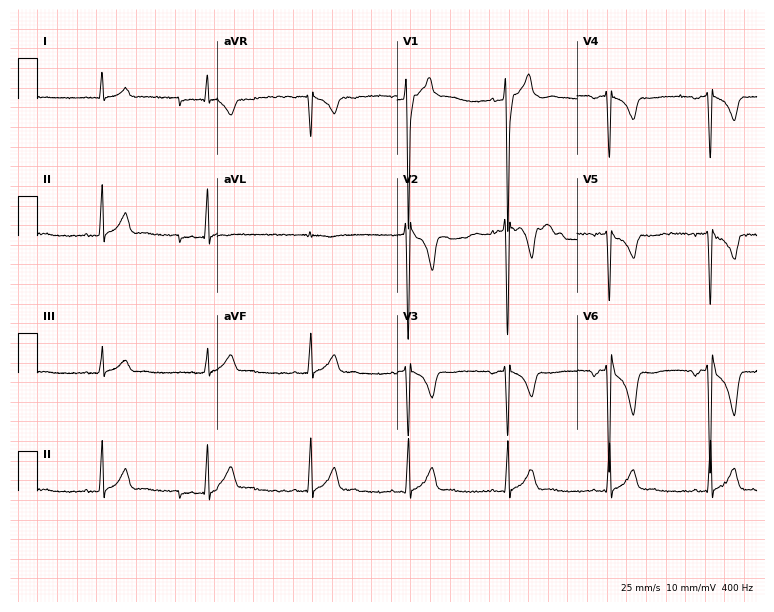
Standard 12-lead ECG recorded from a 24-year-old male patient. None of these six findings is recorded: first-degree AV block, right bundle branch block, left bundle branch block, sinus bradycardia, atrial fibrillation, sinus tachycardia.